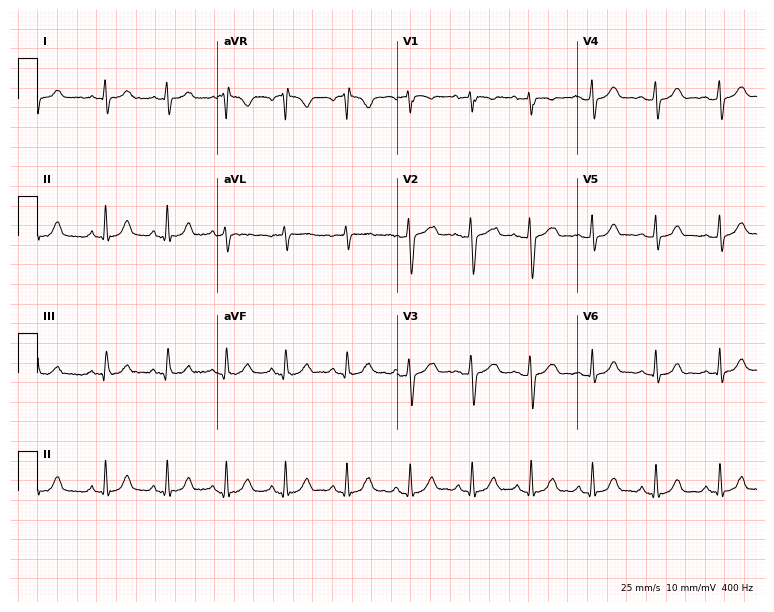
Electrocardiogram, a female patient, 23 years old. Overall reading on record: normal ECG.